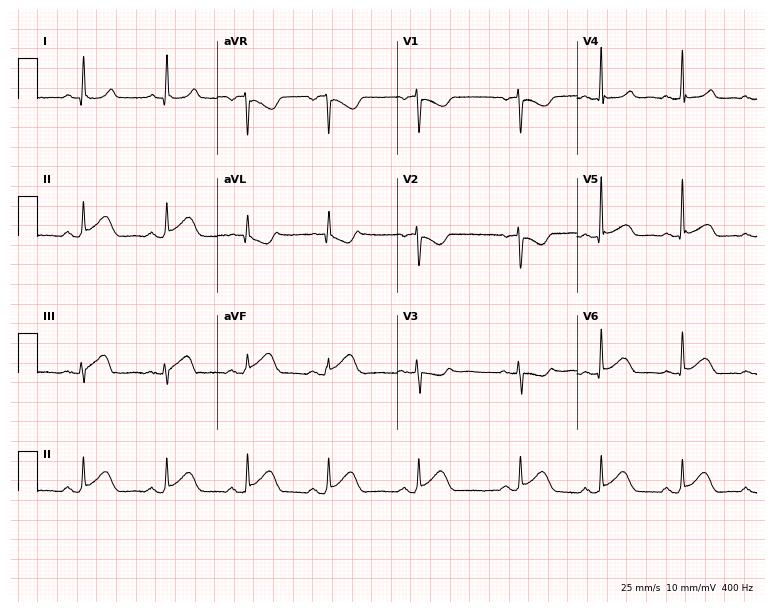
12-lead ECG from a female patient, 54 years old. Screened for six findings — first-degree AV block, right bundle branch block, left bundle branch block, sinus bradycardia, atrial fibrillation, sinus tachycardia — none is recorded.